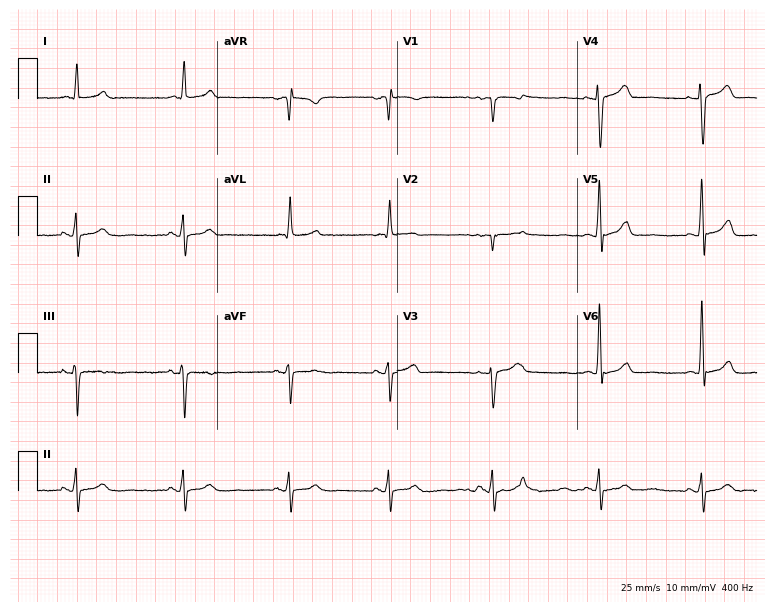
ECG — a 63-year-old woman. Labelled as a normal ECG.